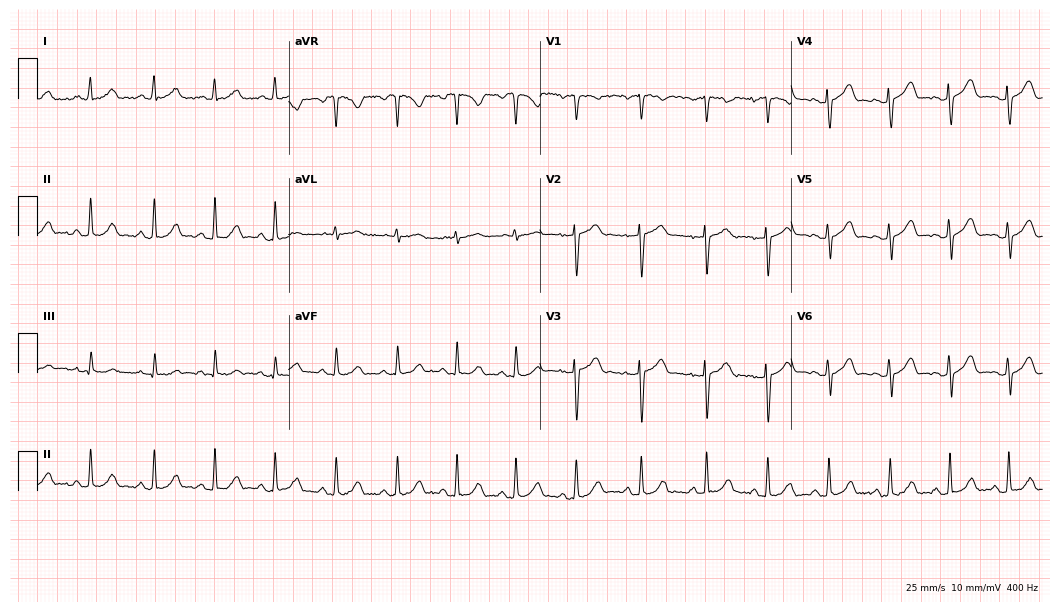
Electrocardiogram, a female patient, 32 years old. Overall reading on record: normal ECG.